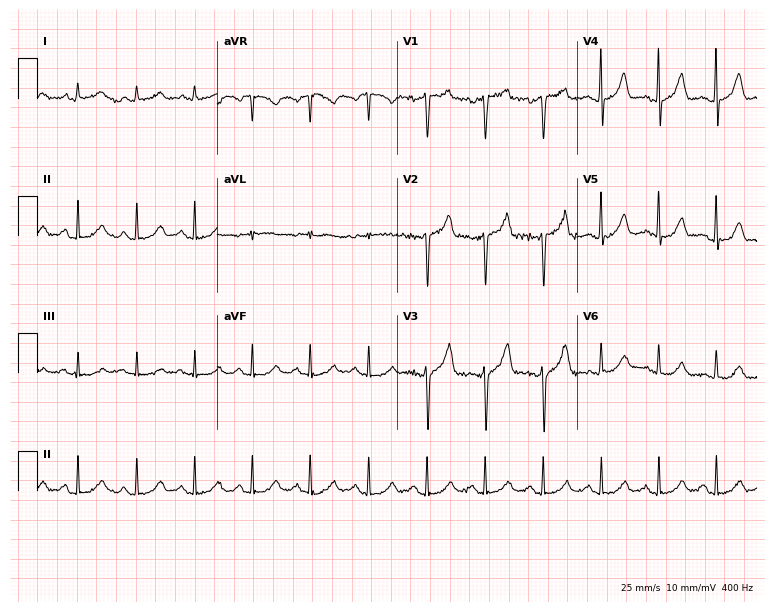
ECG (7.3-second recording at 400 Hz) — a man, 45 years old. Findings include sinus tachycardia (a sinus rate of 100 beats per minute or more).